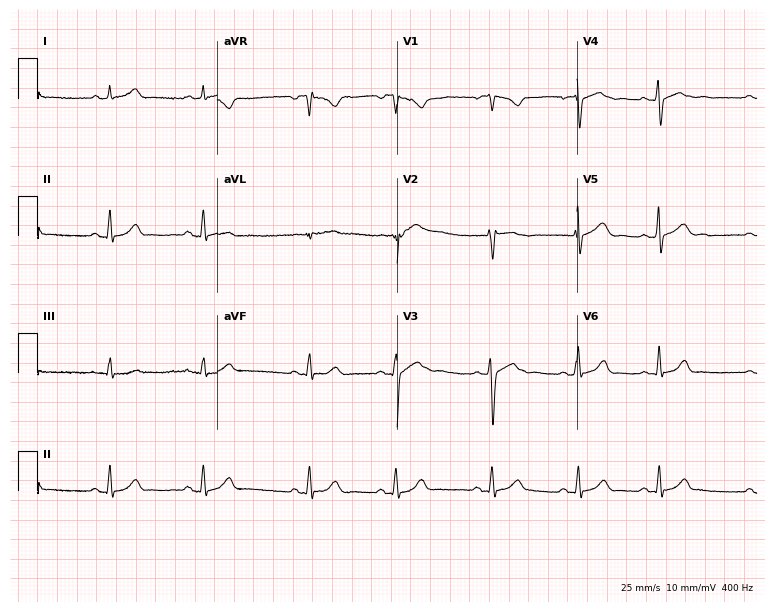
12-lead ECG (7.3-second recording at 400 Hz) from a female, 21 years old. Labelled as a normal ECG.